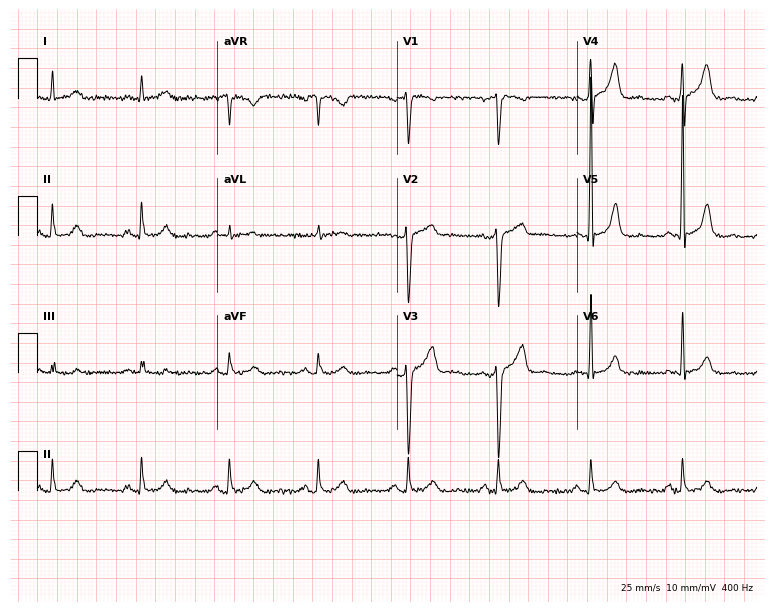
ECG (7.3-second recording at 400 Hz) — a 74-year-old male patient. Labelled as a normal ECG.